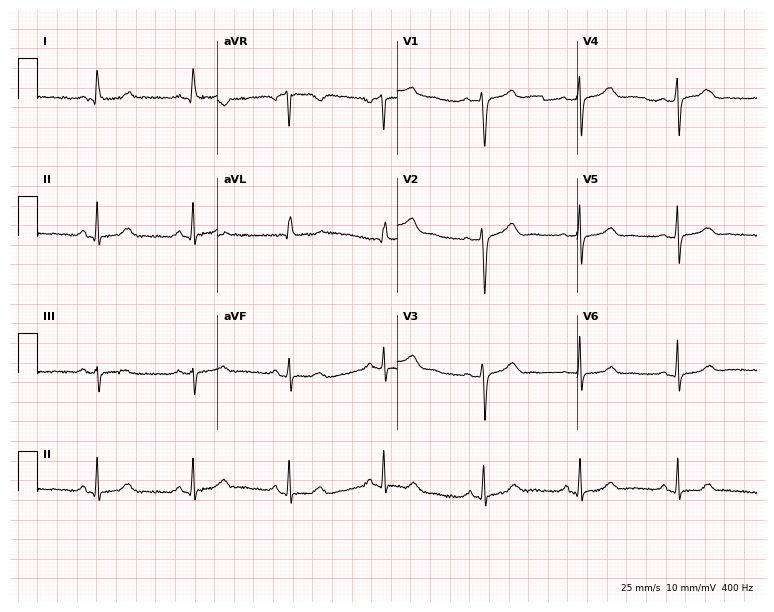
ECG (7.3-second recording at 400 Hz) — a woman, 54 years old. Labelled as a normal ECG.